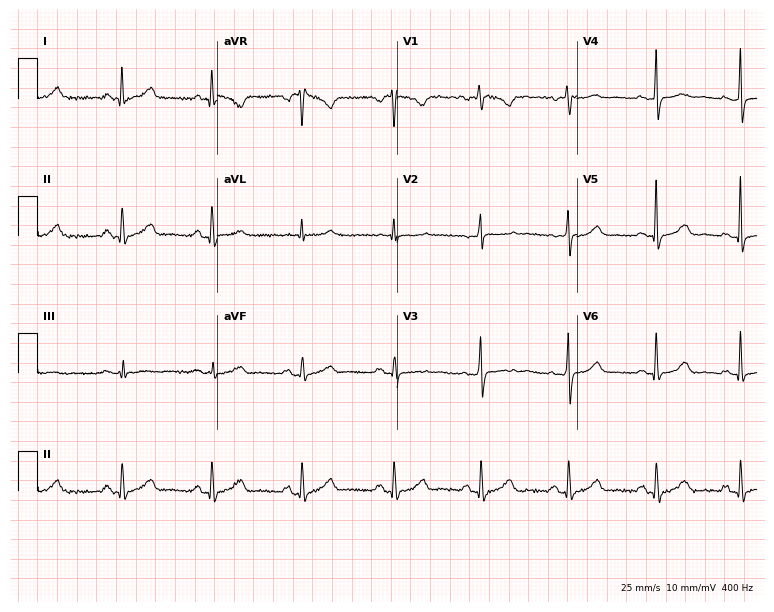
Resting 12-lead electrocardiogram (7.3-second recording at 400 Hz). Patient: a female, 39 years old. Read as a normal ECG.